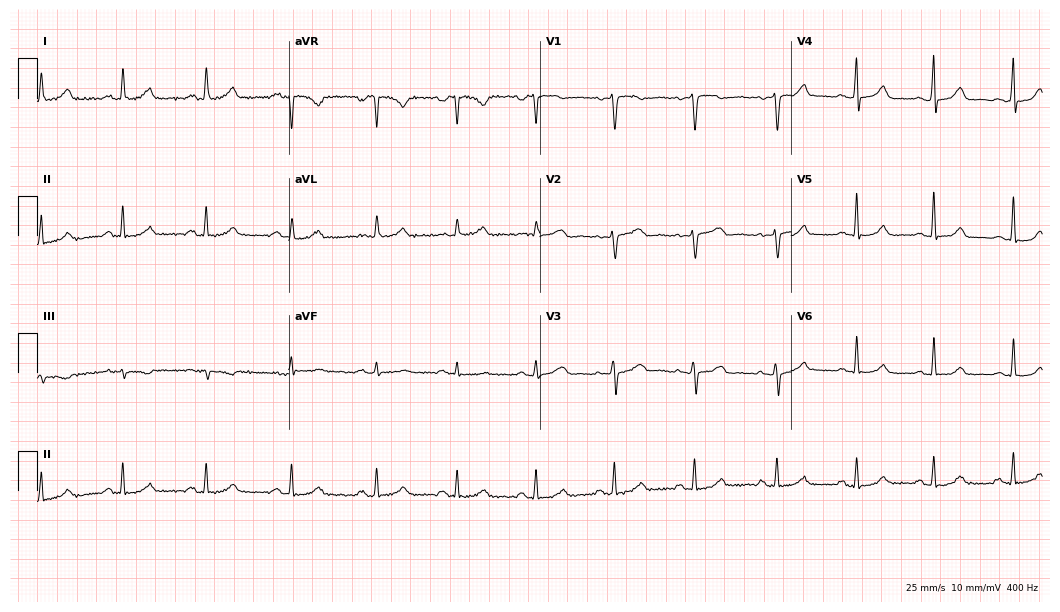
12-lead ECG from a 49-year-old woman (10.2-second recording at 400 Hz). Recorded interpretation: within normal limits.